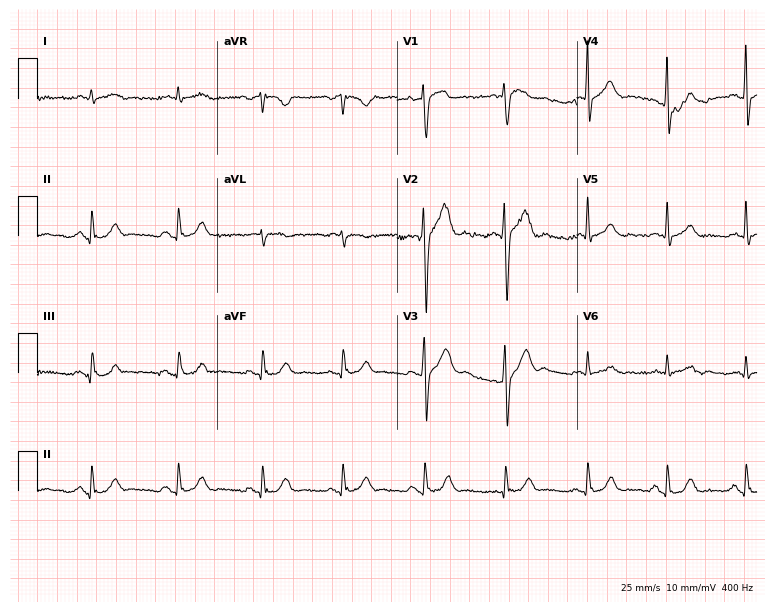
12-lead ECG from a 59-year-old man. Screened for six findings — first-degree AV block, right bundle branch block, left bundle branch block, sinus bradycardia, atrial fibrillation, sinus tachycardia — none is recorded.